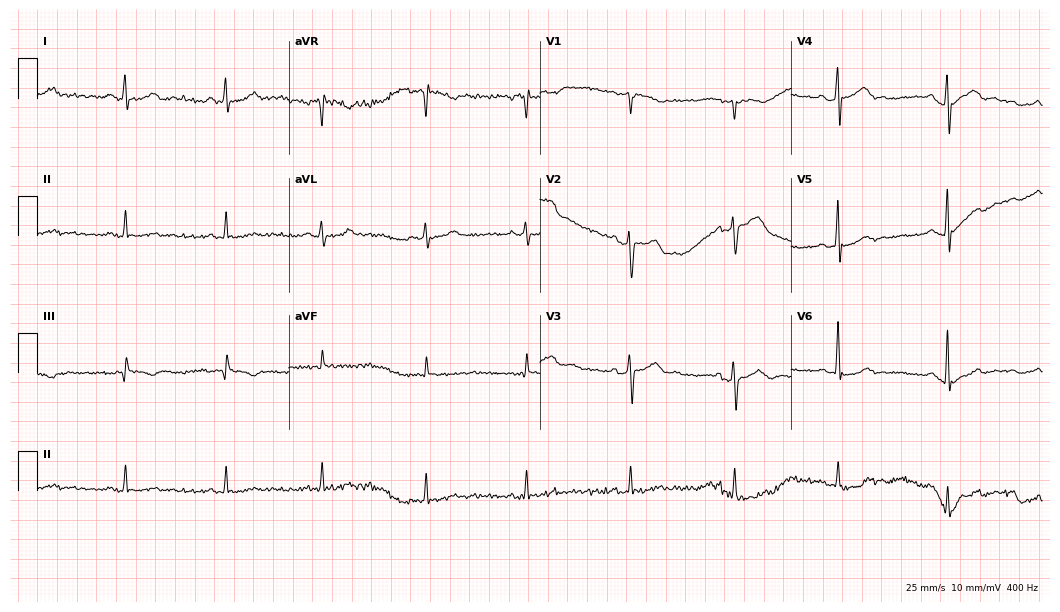
12-lead ECG from a 46-year-old female patient (10.2-second recording at 400 Hz). No first-degree AV block, right bundle branch block, left bundle branch block, sinus bradycardia, atrial fibrillation or sinus tachycardia recorded for this tracing.